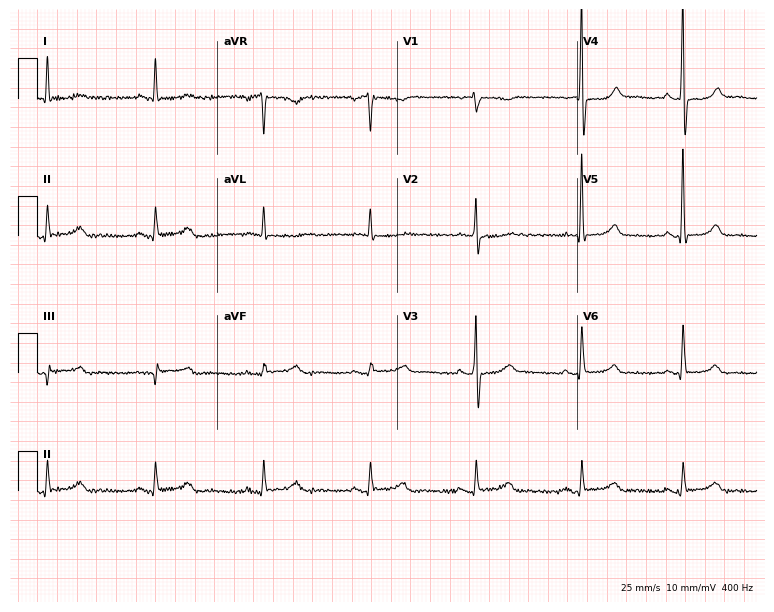
ECG — a 68-year-old female. Labelled as a normal ECG.